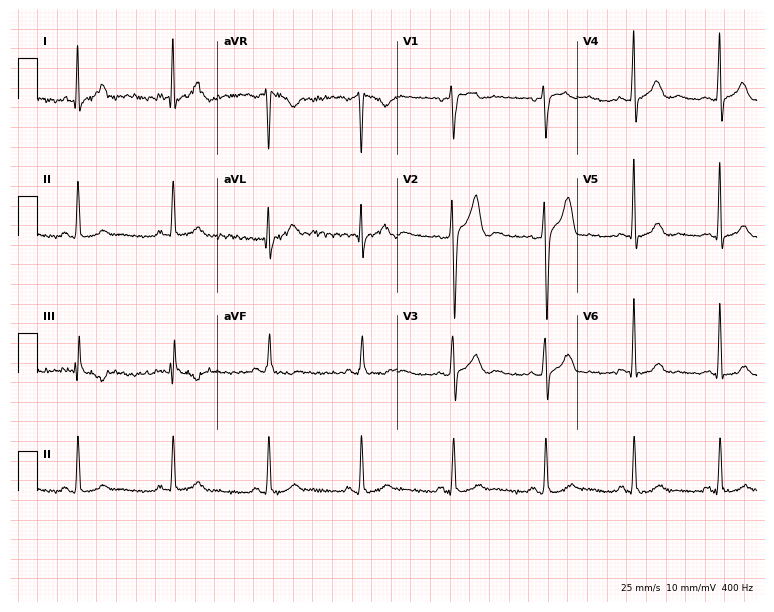
Electrocardiogram (7.3-second recording at 400 Hz), a 38-year-old man. Overall reading on record: normal ECG.